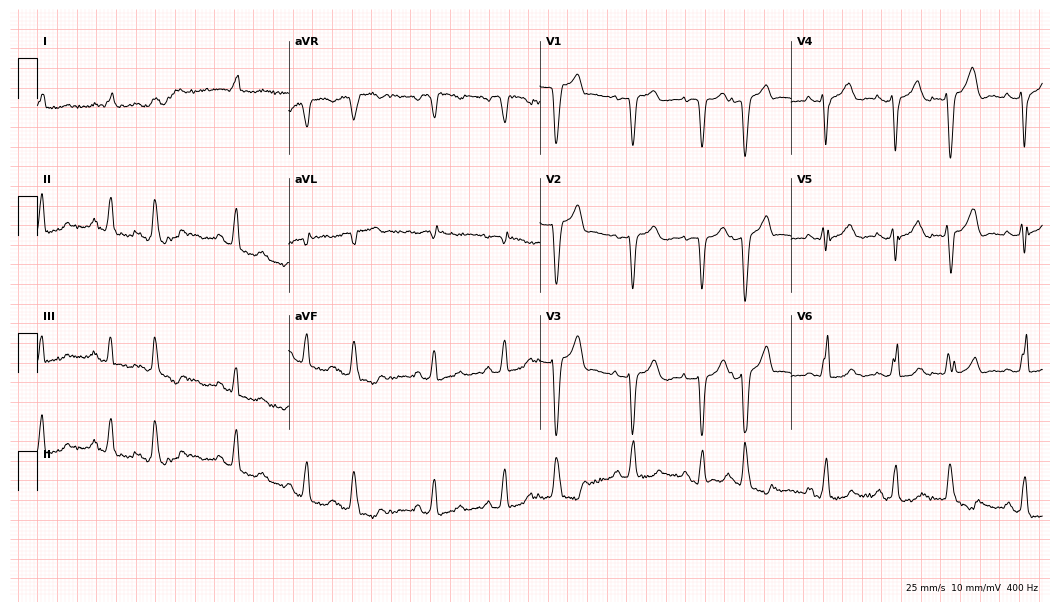
ECG — a 77-year-old man. Screened for six findings — first-degree AV block, right bundle branch block, left bundle branch block, sinus bradycardia, atrial fibrillation, sinus tachycardia — none is recorded.